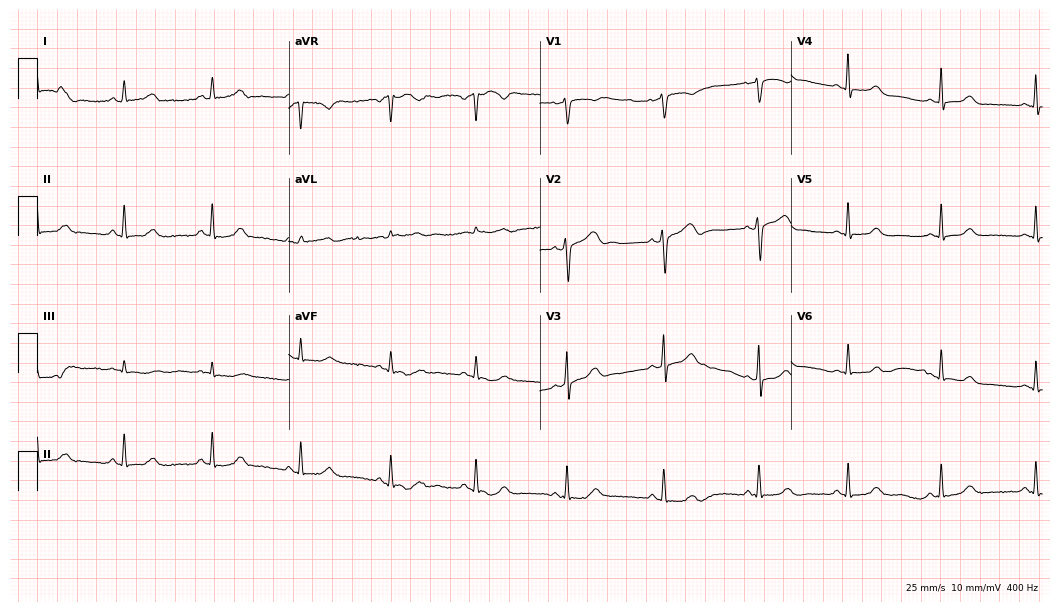
12-lead ECG from a 30-year-old female. Labelled as a normal ECG.